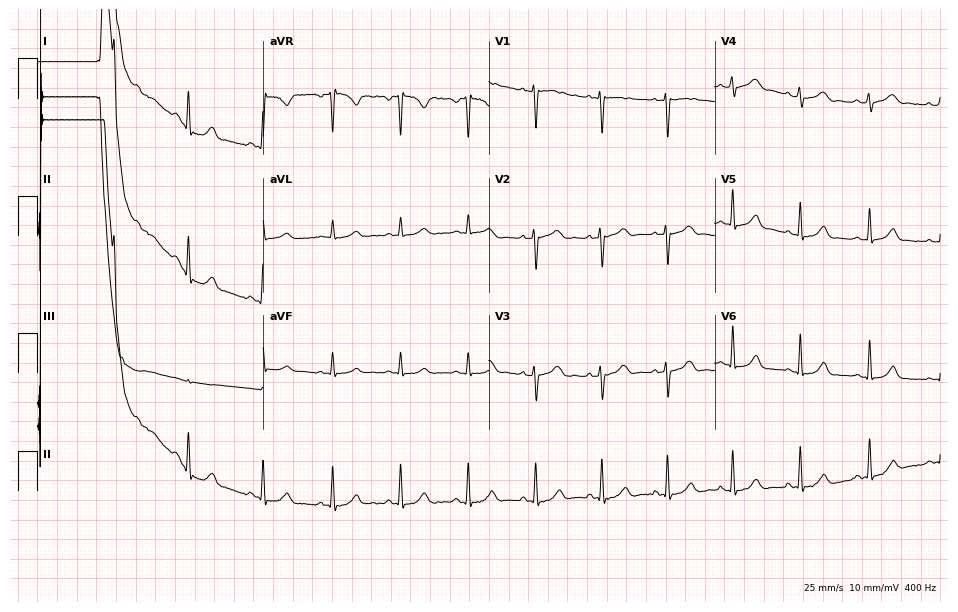
12-lead ECG from a 24-year-old female patient. Screened for six findings — first-degree AV block, right bundle branch block, left bundle branch block, sinus bradycardia, atrial fibrillation, sinus tachycardia — none is recorded. Other findings, if any, are not listed.